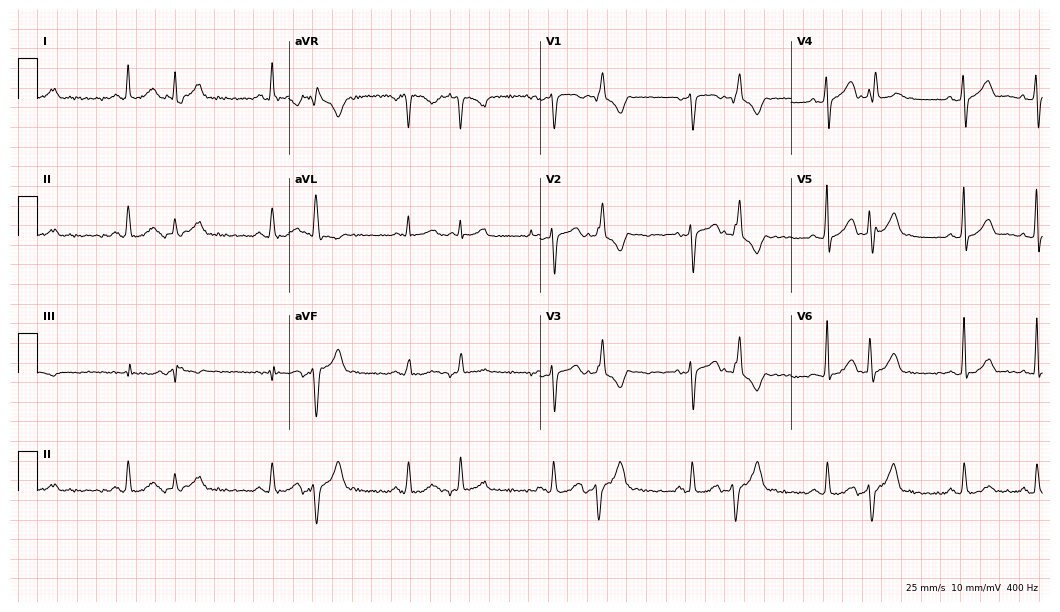
Standard 12-lead ECG recorded from a 70-year-old male. None of these six findings is recorded: first-degree AV block, right bundle branch block (RBBB), left bundle branch block (LBBB), sinus bradycardia, atrial fibrillation (AF), sinus tachycardia.